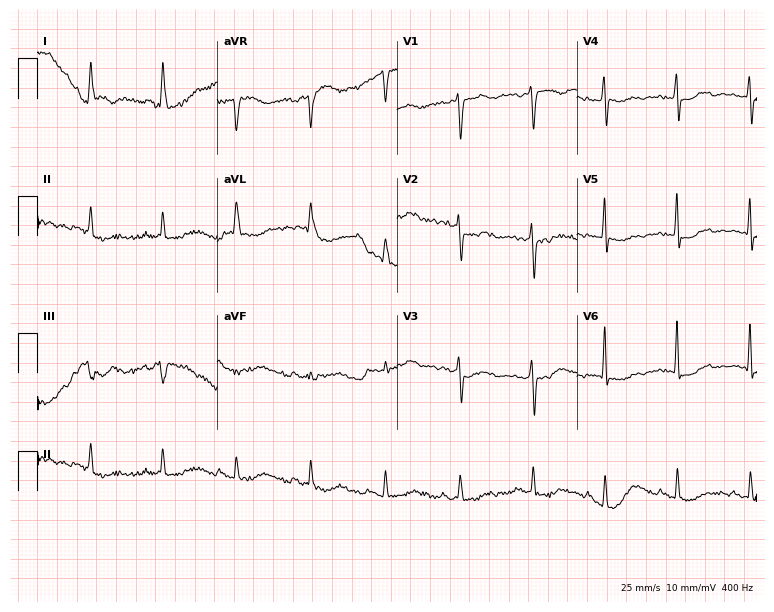
12-lead ECG from an 84-year-old woman. Screened for six findings — first-degree AV block, right bundle branch block (RBBB), left bundle branch block (LBBB), sinus bradycardia, atrial fibrillation (AF), sinus tachycardia — none is recorded. Findings outside these six are not listed.